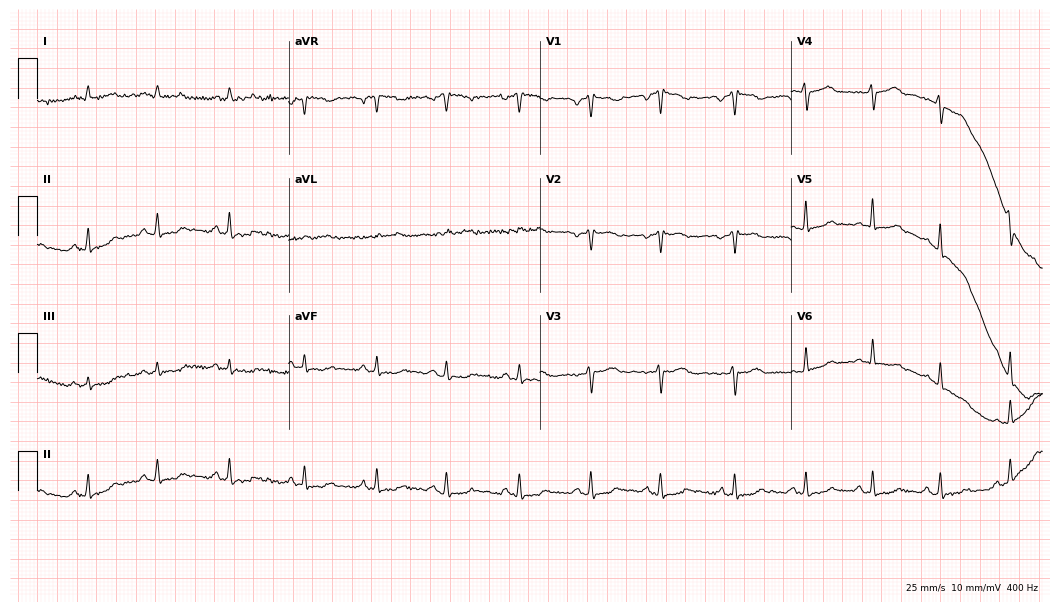
12-lead ECG (10.2-second recording at 400 Hz) from a woman, 23 years old. Screened for six findings — first-degree AV block, right bundle branch block, left bundle branch block, sinus bradycardia, atrial fibrillation, sinus tachycardia — none is recorded.